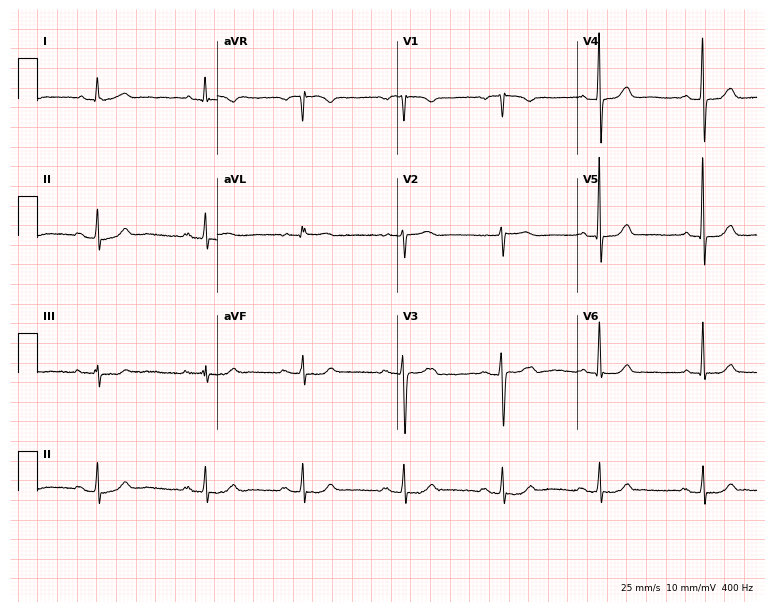
ECG — a 74-year-old woman. Labelled as a normal ECG.